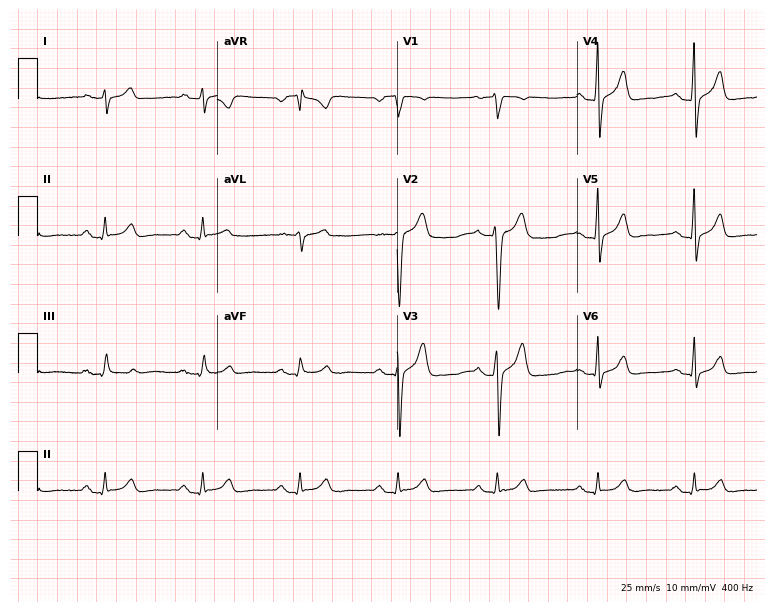
12-lead ECG from a man, 35 years old (7.3-second recording at 400 Hz). No first-degree AV block, right bundle branch block, left bundle branch block, sinus bradycardia, atrial fibrillation or sinus tachycardia recorded for this tracing. Only these six findings were labelled.